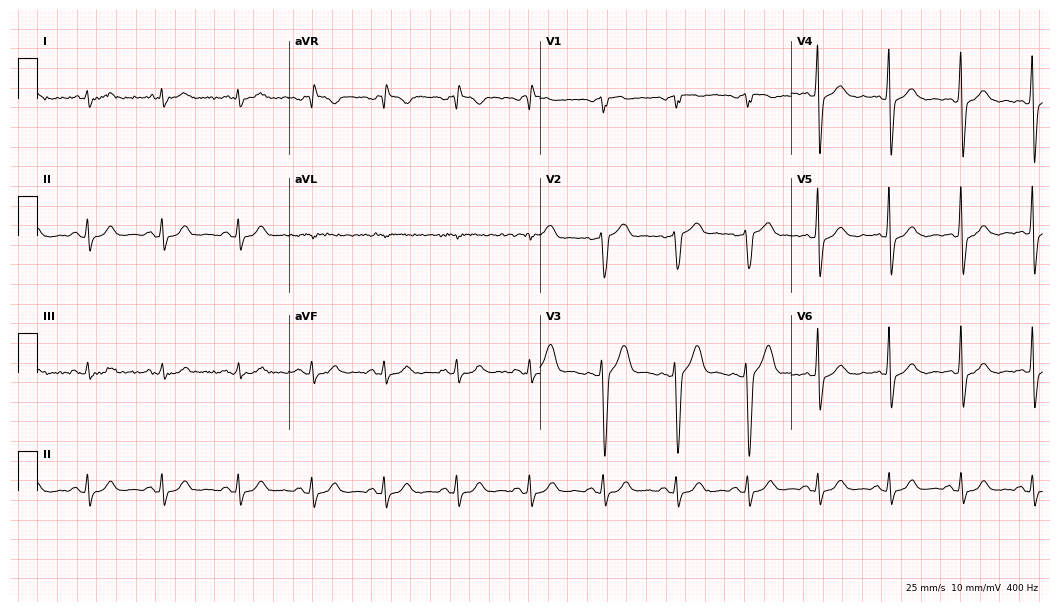
Resting 12-lead electrocardiogram. Patient: a man, 53 years old. None of these six findings is recorded: first-degree AV block, right bundle branch block, left bundle branch block, sinus bradycardia, atrial fibrillation, sinus tachycardia.